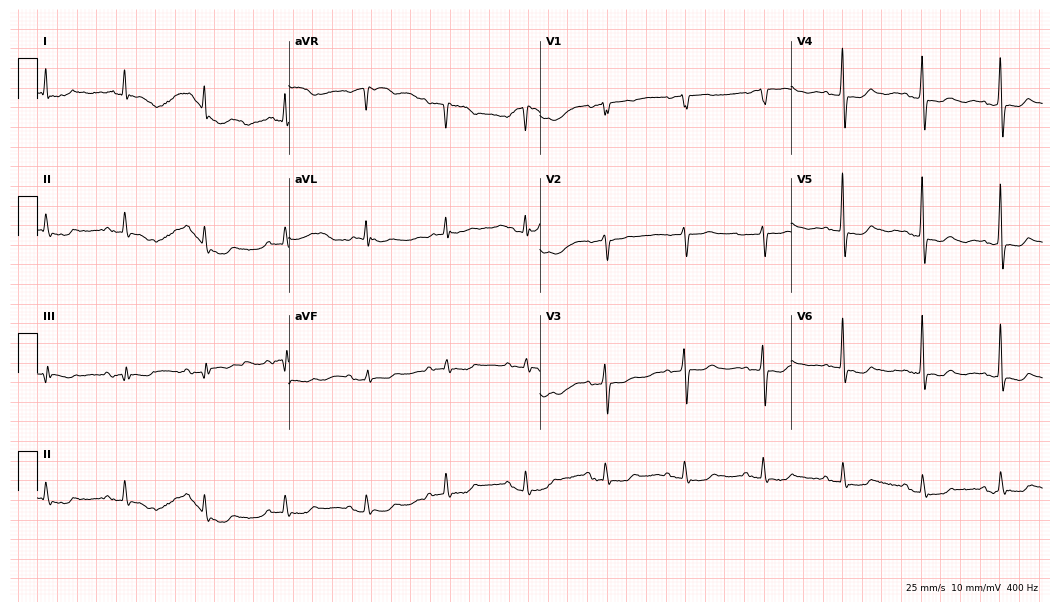
12-lead ECG from an 85-year-old female patient (10.2-second recording at 400 Hz). No first-degree AV block, right bundle branch block, left bundle branch block, sinus bradycardia, atrial fibrillation or sinus tachycardia recorded for this tracing.